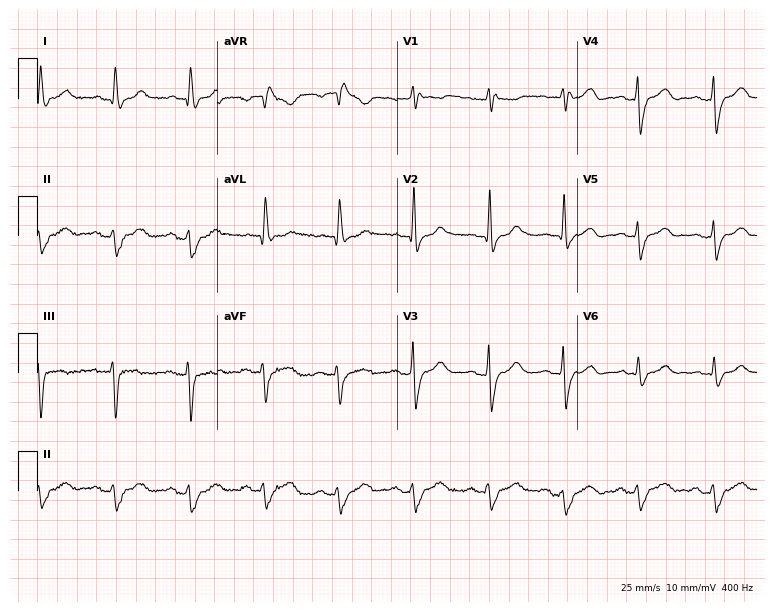
12-lead ECG (7.3-second recording at 400 Hz) from a 64-year-old woman. Findings include right bundle branch block (RBBB).